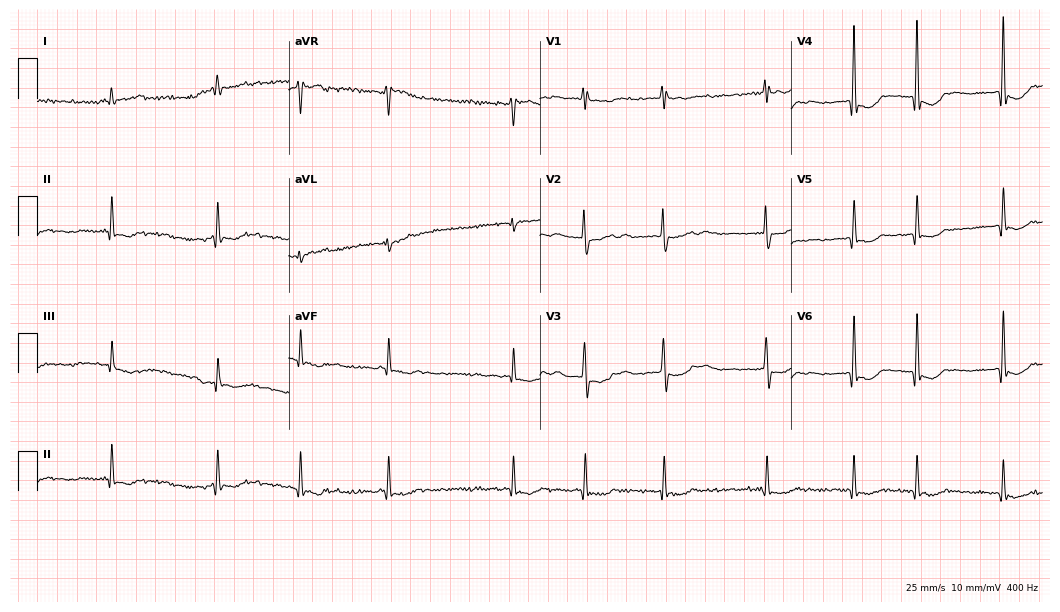
Standard 12-lead ECG recorded from a 57-year-old woman. None of these six findings is recorded: first-degree AV block, right bundle branch block (RBBB), left bundle branch block (LBBB), sinus bradycardia, atrial fibrillation (AF), sinus tachycardia. Other findings, if any, are not listed.